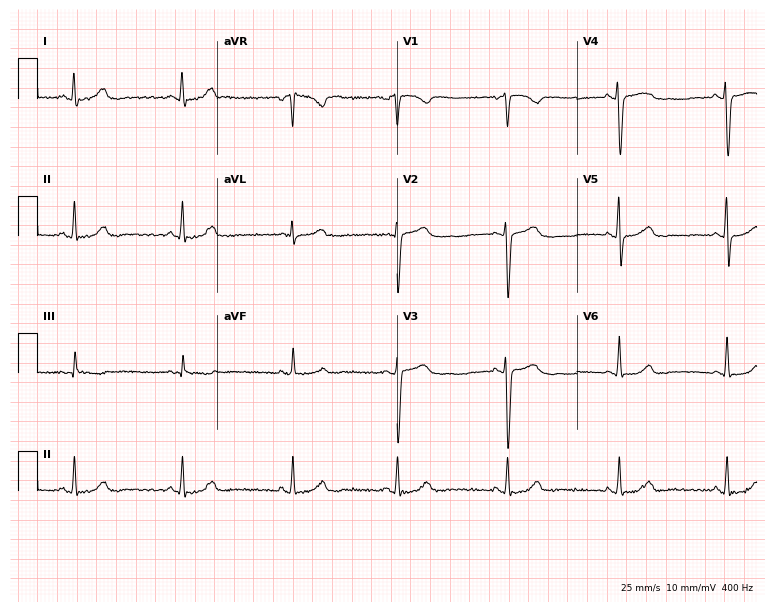
Standard 12-lead ECG recorded from a 46-year-old woman. Read as a normal ECG.